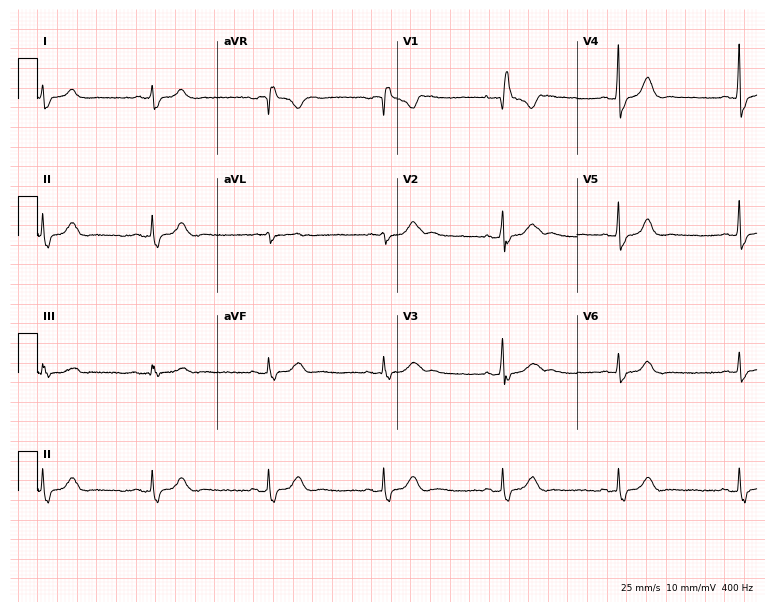
12-lead ECG from a 42-year-old female patient (7.3-second recording at 400 Hz). Shows right bundle branch block.